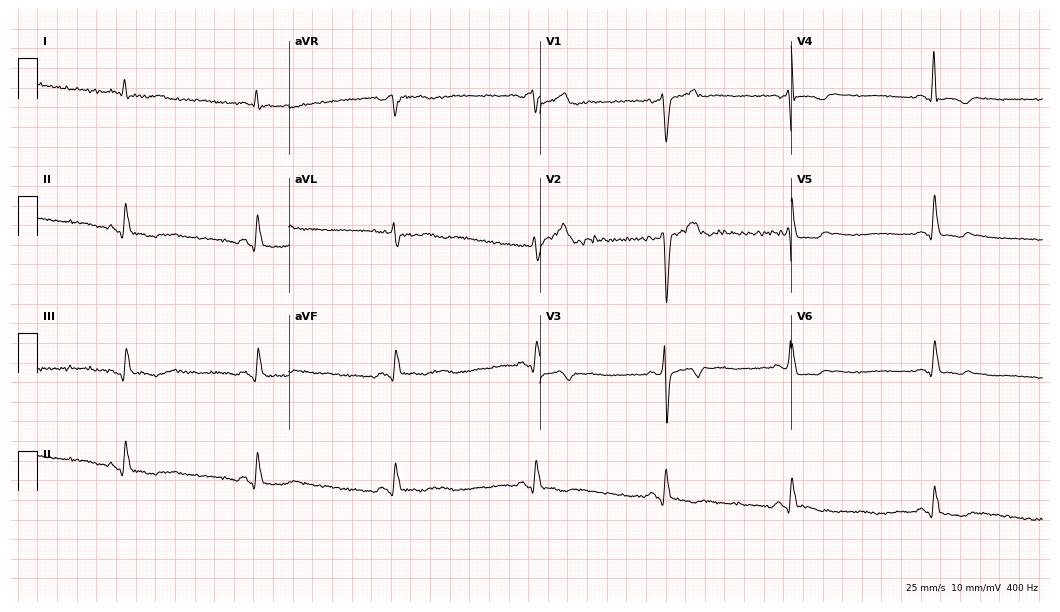
Standard 12-lead ECG recorded from a male, 52 years old (10.2-second recording at 400 Hz). The tracing shows sinus bradycardia (a sinus rate of 50 beats per minute or less).